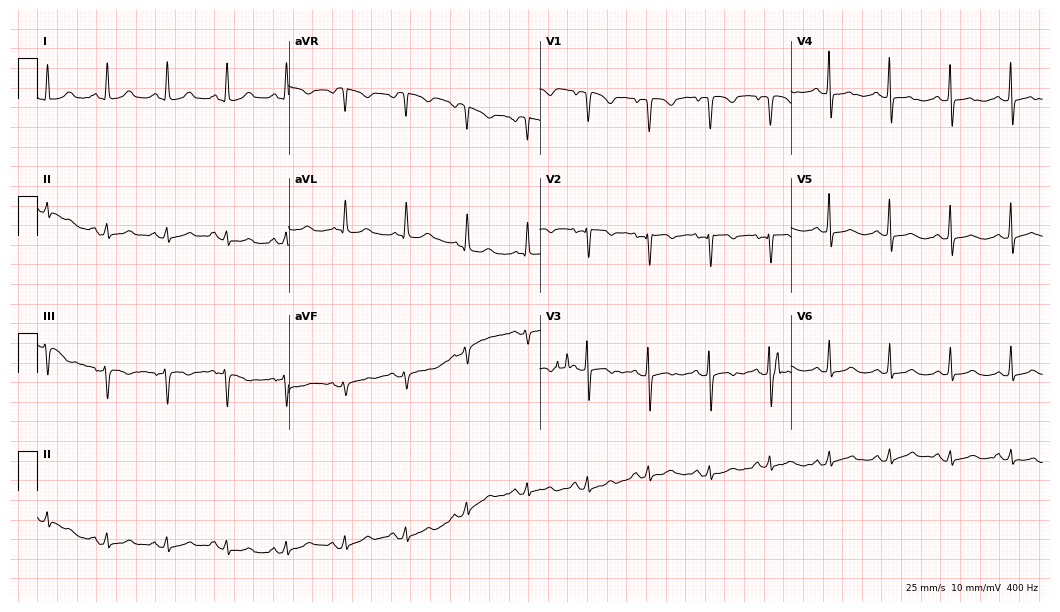
12-lead ECG from a woman, 67 years old (10.2-second recording at 400 Hz). No first-degree AV block, right bundle branch block, left bundle branch block, sinus bradycardia, atrial fibrillation or sinus tachycardia recorded for this tracing. Findings outside these six are not listed.